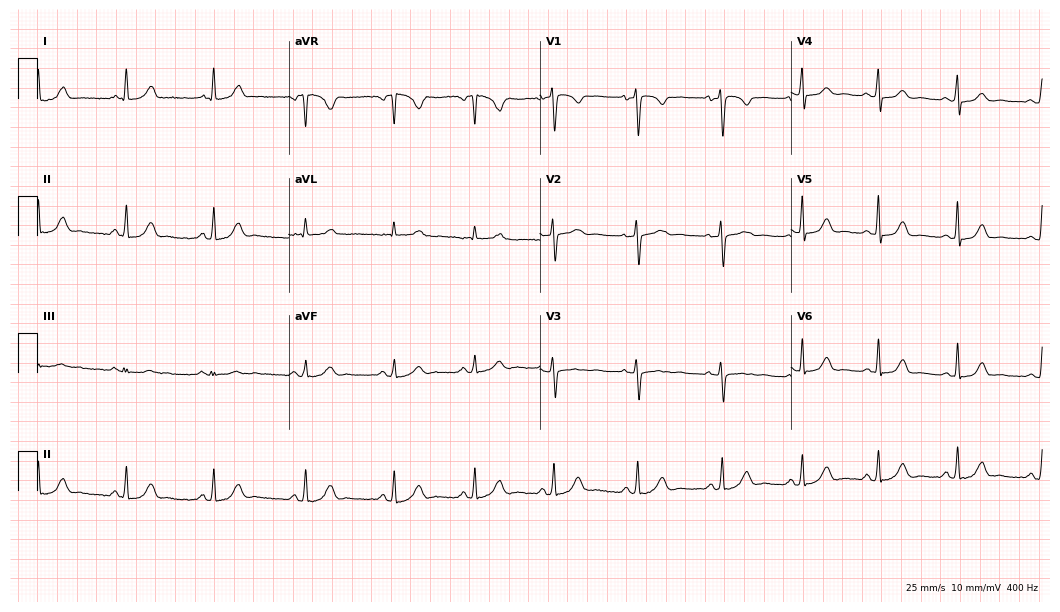
Resting 12-lead electrocardiogram. Patient: a 40-year-old woman. None of these six findings is recorded: first-degree AV block, right bundle branch block, left bundle branch block, sinus bradycardia, atrial fibrillation, sinus tachycardia.